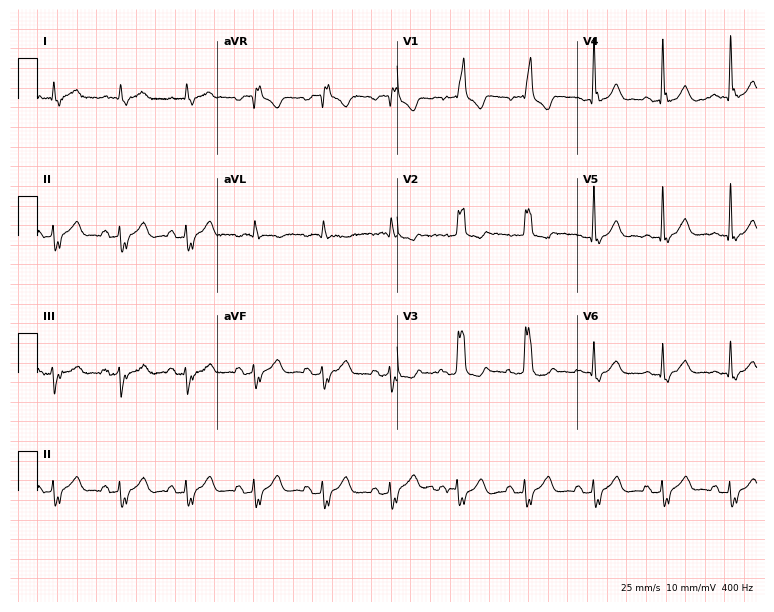
12-lead ECG from a man, 84 years old. Findings include right bundle branch block (RBBB).